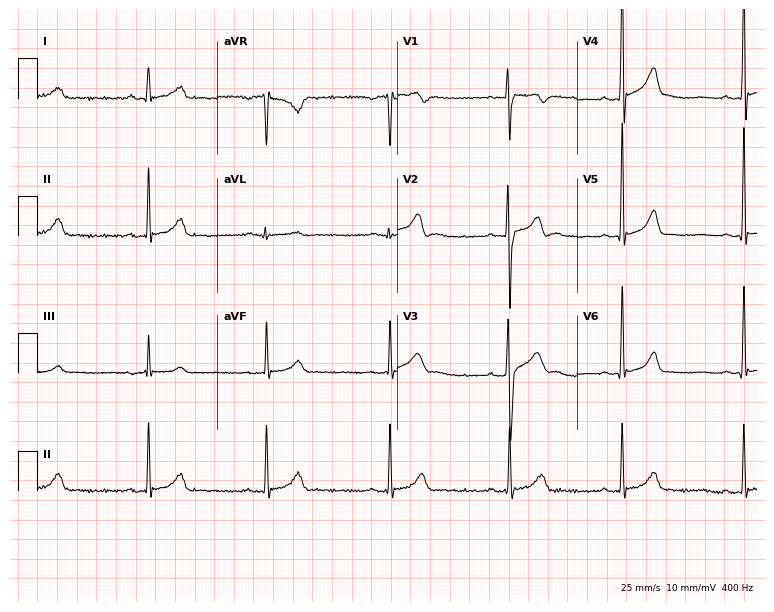
Electrocardiogram (7.3-second recording at 400 Hz), a male, 22 years old. Of the six screened findings (first-degree AV block, right bundle branch block (RBBB), left bundle branch block (LBBB), sinus bradycardia, atrial fibrillation (AF), sinus tachycardia), none is recorded. Other findings, if any, are not listed.